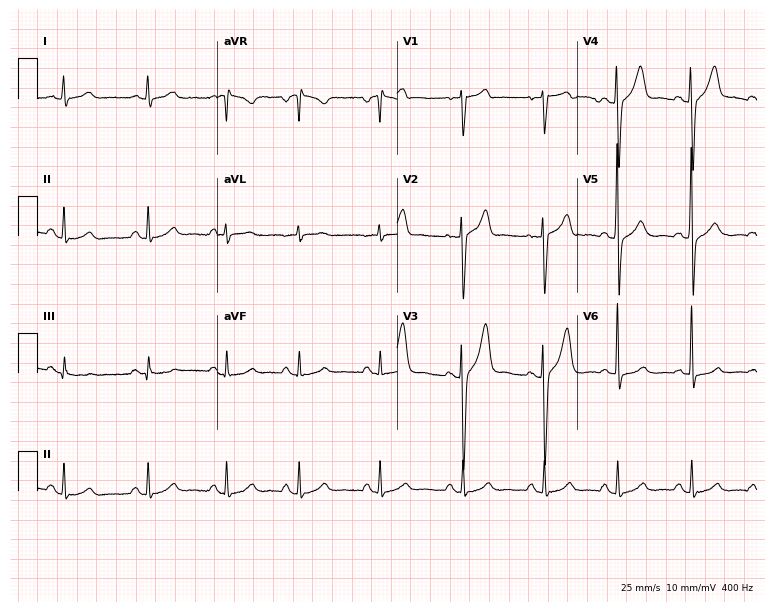
Electrocardiogram, a male patient, 37 years old. Of the six screened findings (first-degree AV block, right bundle branch block, left bundle branch block, sinus bradycardia, atrial fibrillation, sinus tachycardia), none is recorded. Other findings, if any, are not listed.